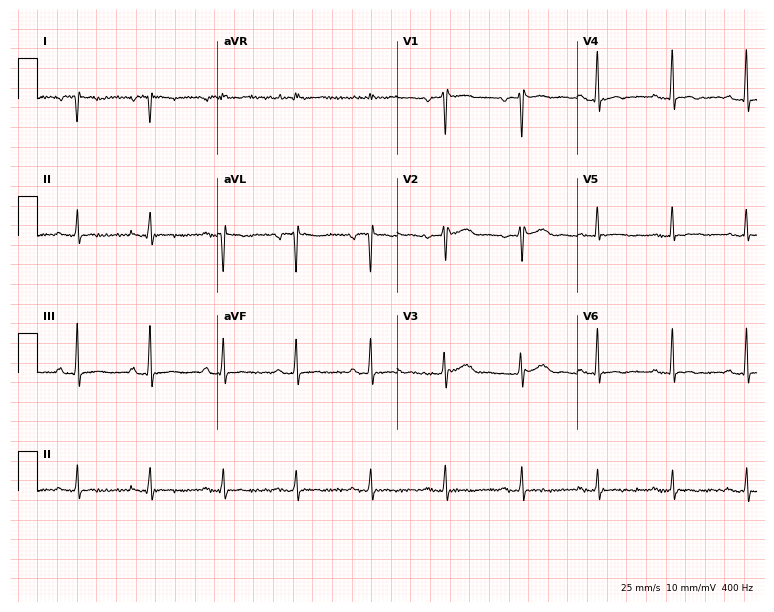
Standard 12-lead ECG recorded from a female patient, 51 years old. None of these six findings is recorded: first-degree AV block, right bundle branch block (RBBB), left bundle branch block (LBBB), sinus bradycardia, atrial fibrillation (AF), sinus tachycardia. Only these six findings were labelled.